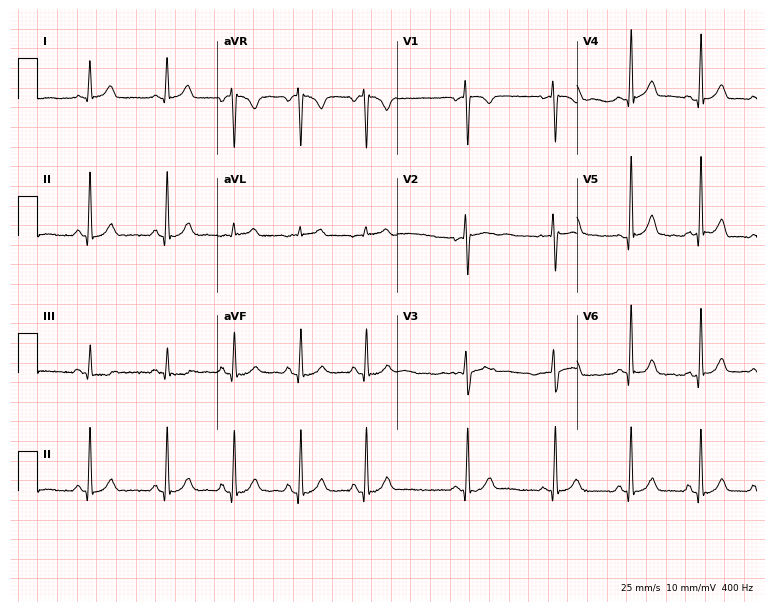
Resting 12-lead electrocardiogram. Patient: a 31-year-old female. Read as a normal ECG.